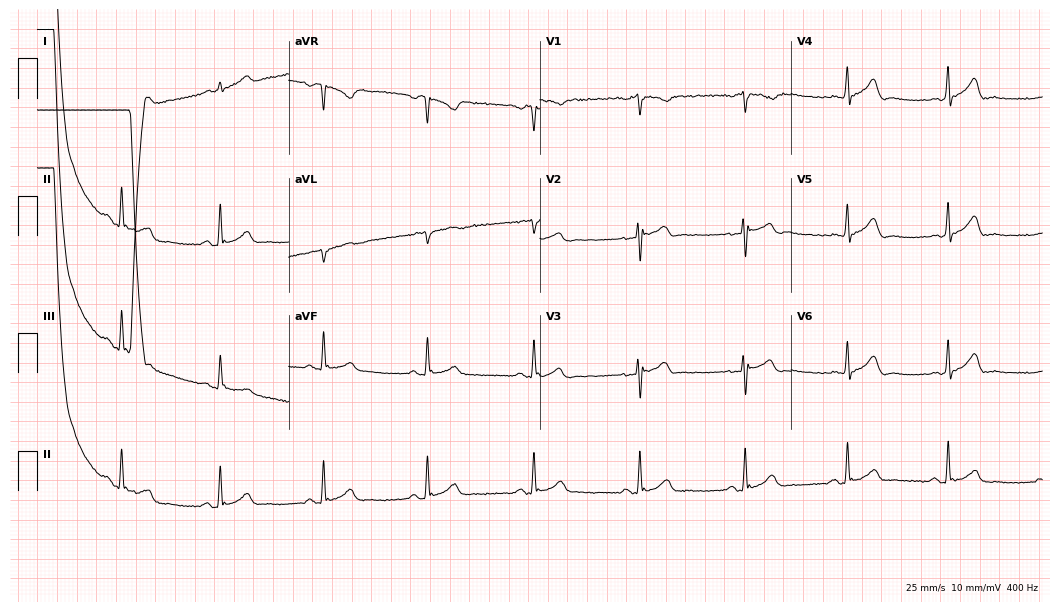
Resting 12-lead electrocardiogram. Patient: a 38-year-old man. None of these six findings is recorded: first-degree AV block, right bundle branch block, left bundle branch block, sinus bradycardia, atrial fibrillation, sinus tachycardia. Other findings, if any, are not listed.